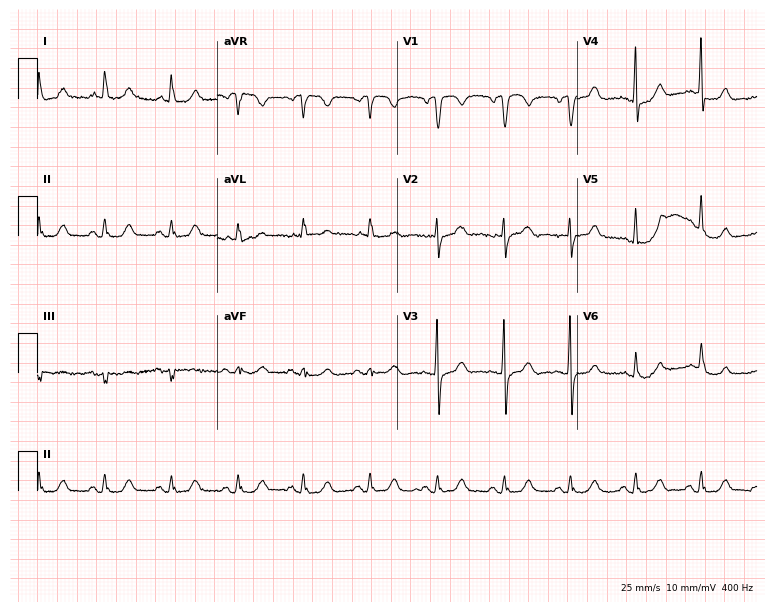
Standard 12-lead ECG recorded from a 70-year-old female (7.3-second recording at 400 Hz). Read as a normal ECG.